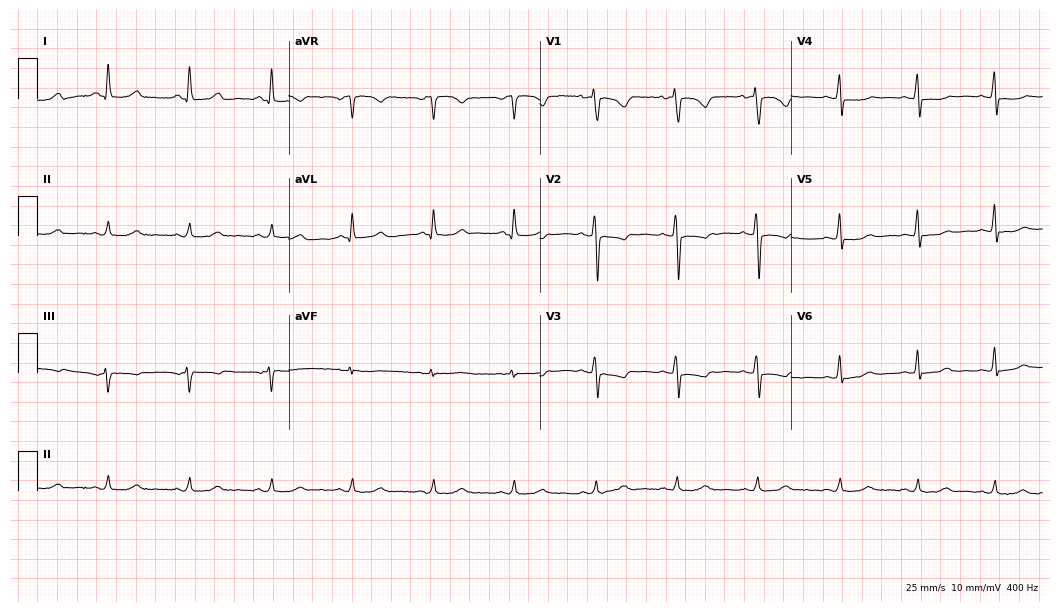
Standard 12-lead ECG recorded from a female, 51 years old. None of these six findings is recorded: first-degree AV block, right bundle branch block, left bundle branch block, sinus bradycardia, atrial fibrillation, sinus tachycardia.